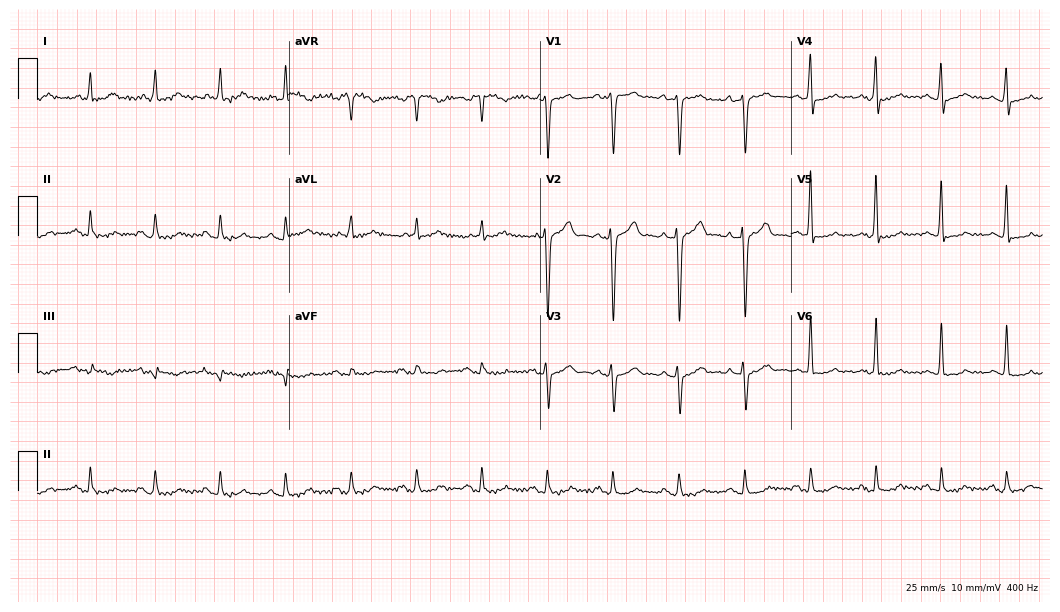
Electrocardiogram (10.2-second recording at 400 Hz), a male patient, 70 years old. Of the six screened findings (first-degree AV block, right bundle branch block (RBBB), left bundle branch block (LBBB), sinus bradycardia, atrial fibrillation (AF), sinus tachycardia), none is recorded.